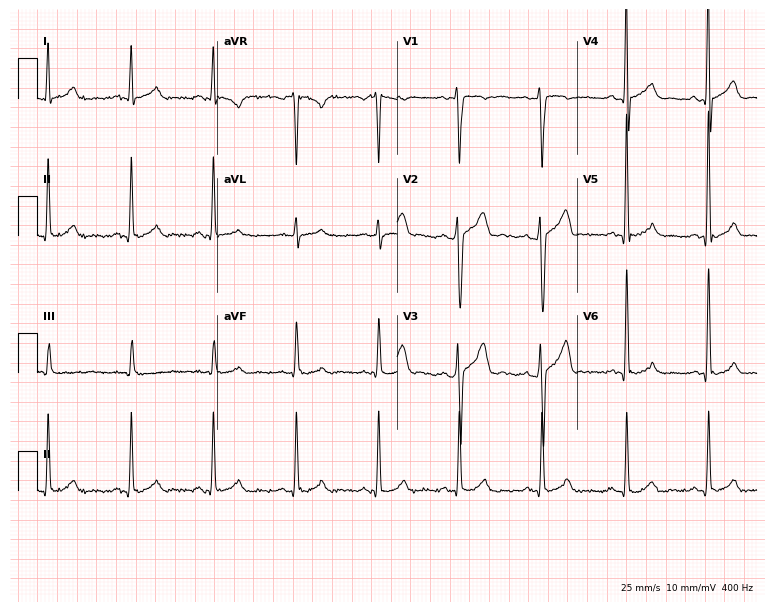
Standard 12-lead ECG recorded from a 38-year-old male patient (7.3-second recording at 400 Hz). Read as a normal ECG.